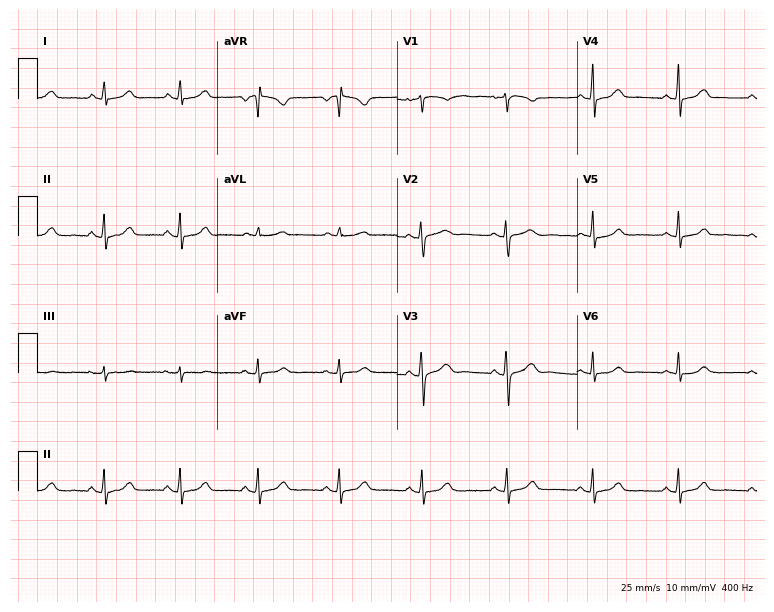
Standard 12-lead ECG recorded from a female patient, 52 years old. Read as a normal ECG.